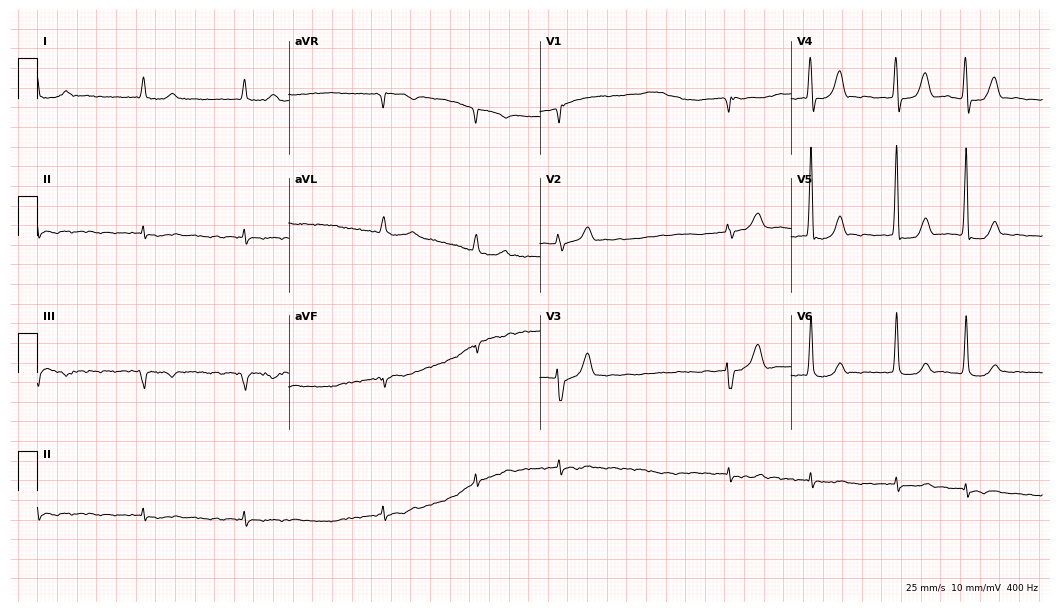
Standard 12-lead ECG recorded from a male patient, 82 years old. The tracing shows atrial fibrillation.